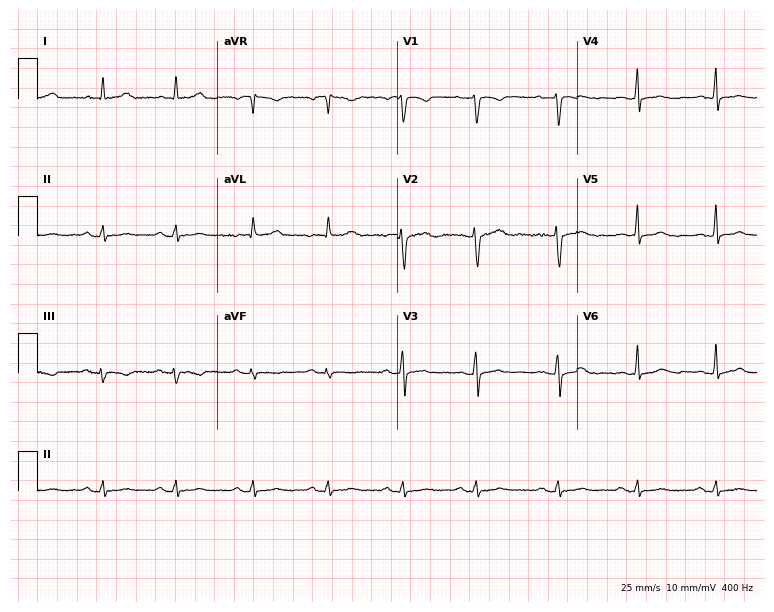
ECG — a 48-year-old female patient. Labelled as a normal ECG.